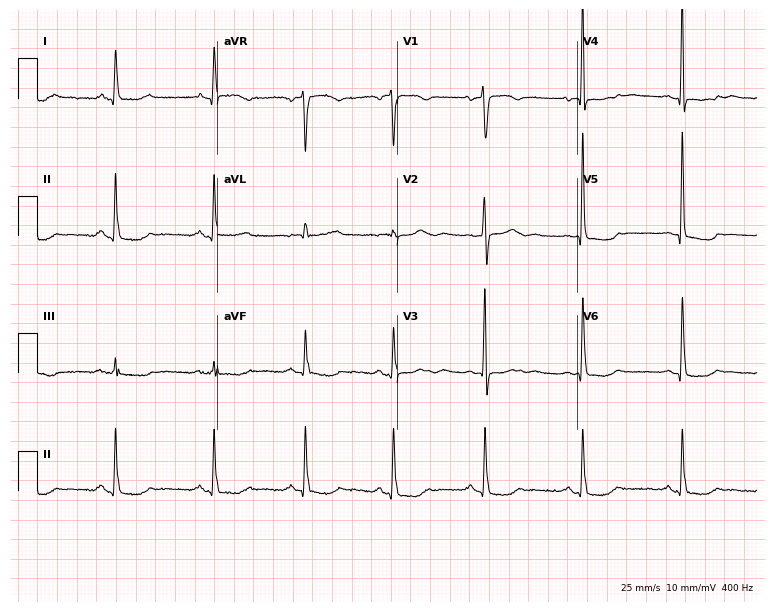
Resting 12-lead electrocardiogram (7.3-second recording at 400 Hz). Patient: a 67-year-old female. None of these six findings is recorded: first-degree AV block, right bundle branch block, left bundle branch block, sinus bradycardia, atrial fibrillation, sinus tachycardia. Findings outside these six are not listed.